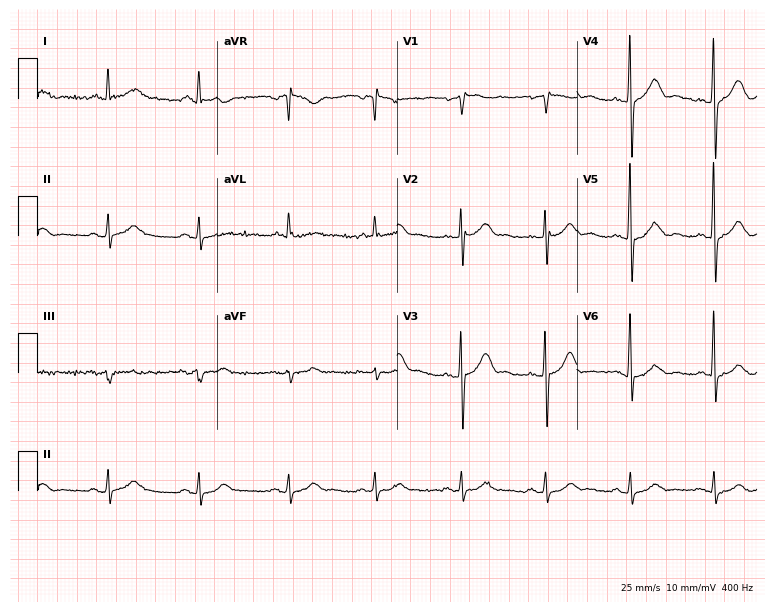
12-lead ECG from a 69-year-old man. Screened for six findings — first-degree AV block, right bundle branch block, left bundle branch block, sinus bradycardia, atrial fibrillation, sinus tachycardia — none is recorded. Other findings, if any, are not listed.